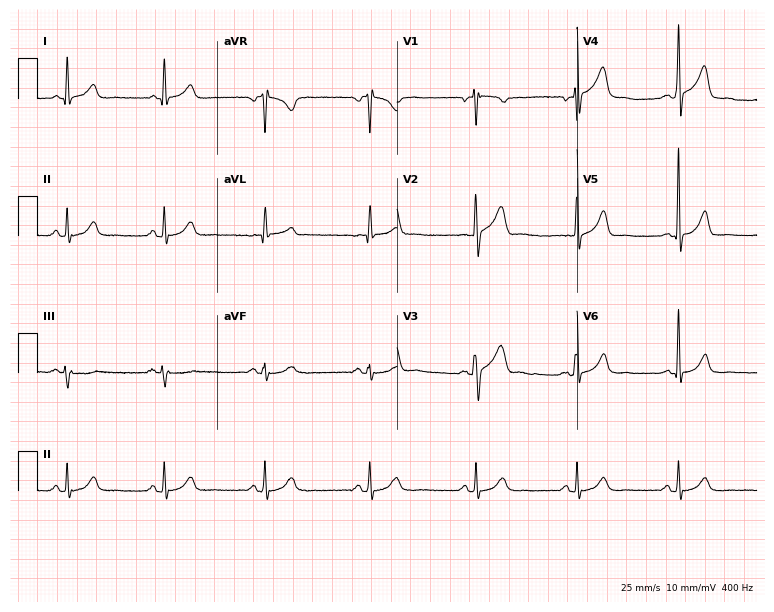
12-lead ECG from a man, 53 years old. Screened for six findings — first-degree AV block, right bundle branch block, left bundle branch block, sinus bradycardia, atrial fibrillation, sinus tachycardia — none is recorded.